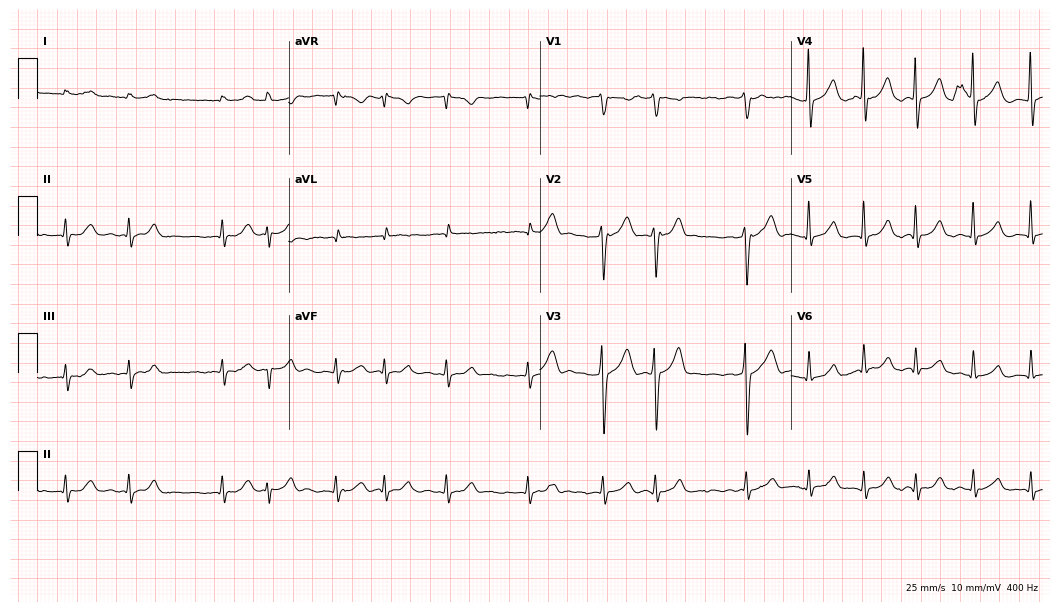
Resting 12-lead electrocardiogram. Patient: a male, 66 years old. The tracing shows atrial fibrillation.